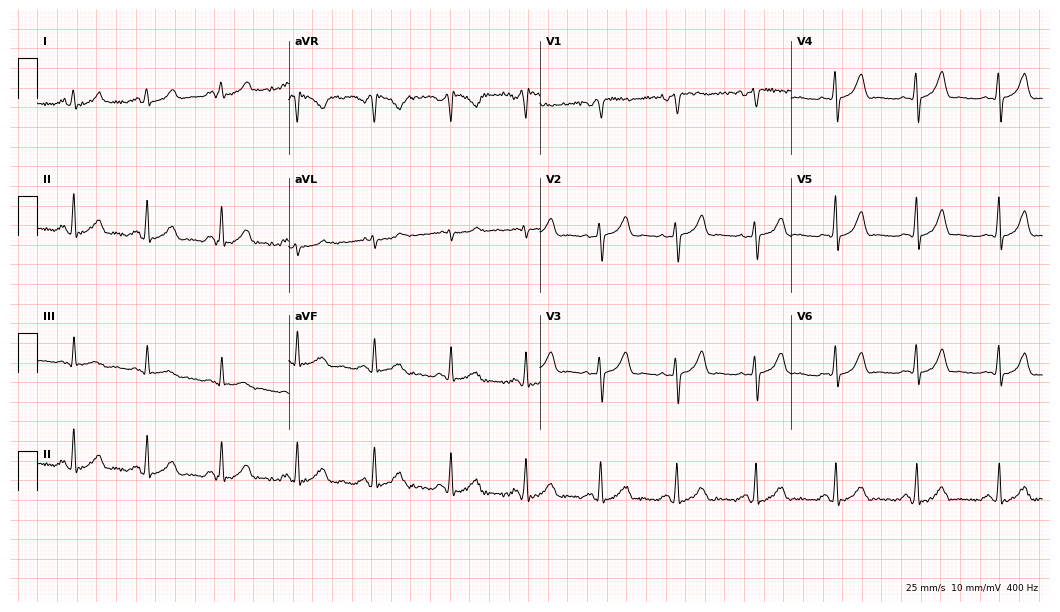
Resting 12-lead electrocardiogram (10.2-second recording at 400 Hz). Patient: a female, 23 years old. Read as a normal ECG.